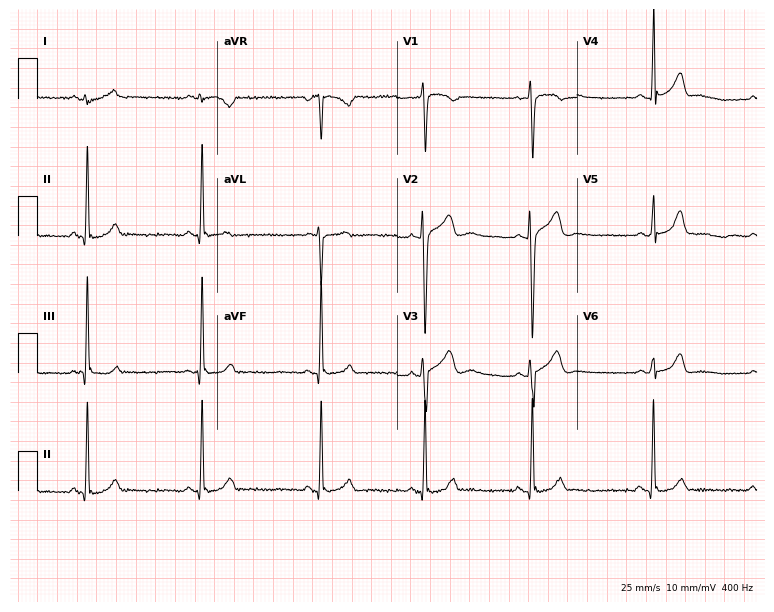
ECG (7.3-second recording at 400 Hz) — an 18-year-old male patient. Screened for six findings — first-degree AV block, right bundle branch block (RBBB), left bundle branch block (LBBB), sinus bradycardia, atrial fibrillation (AF), sinus tachycardia — none is recorded.